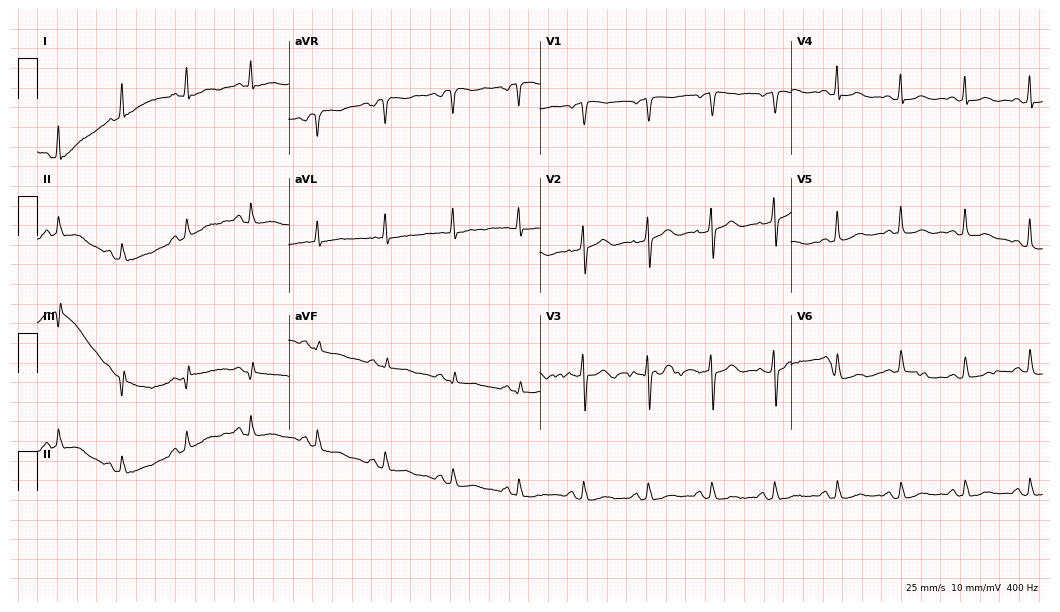
Standard 12-lead ECG recorded from a 58-year-old woman (10.2-second recording at 400 Hz). Read as a normal ECG.